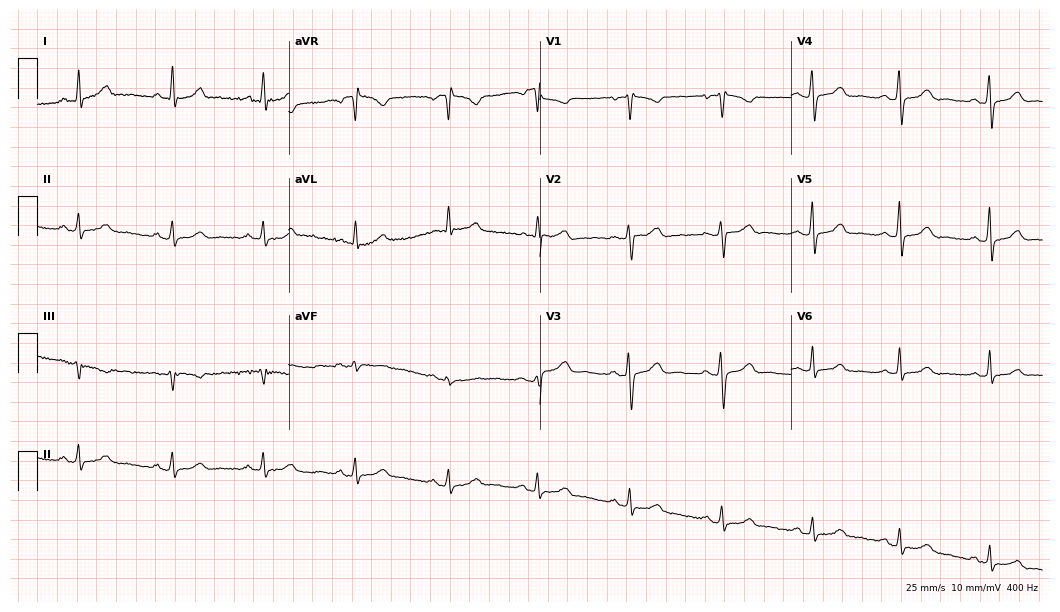
12-lead ECG from a 37-year-old female patient. Labelled as a normal ECG.